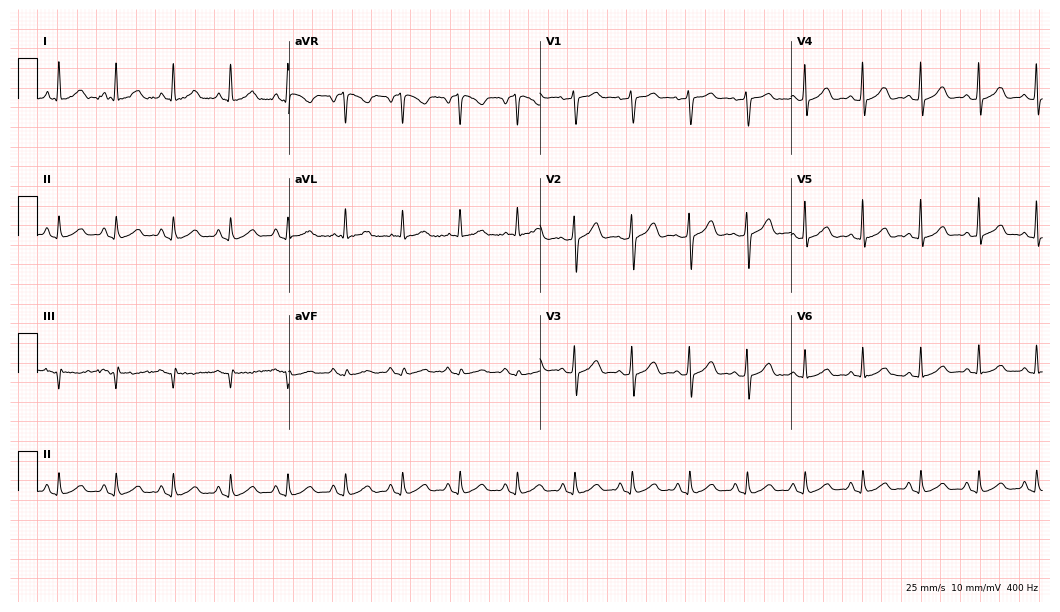
12-lead ECG from a female, 66 years old (10.2-second recording at 400 Hz). Shows sinus tachycardia (a sinus rate of 100 beats per minute or more).